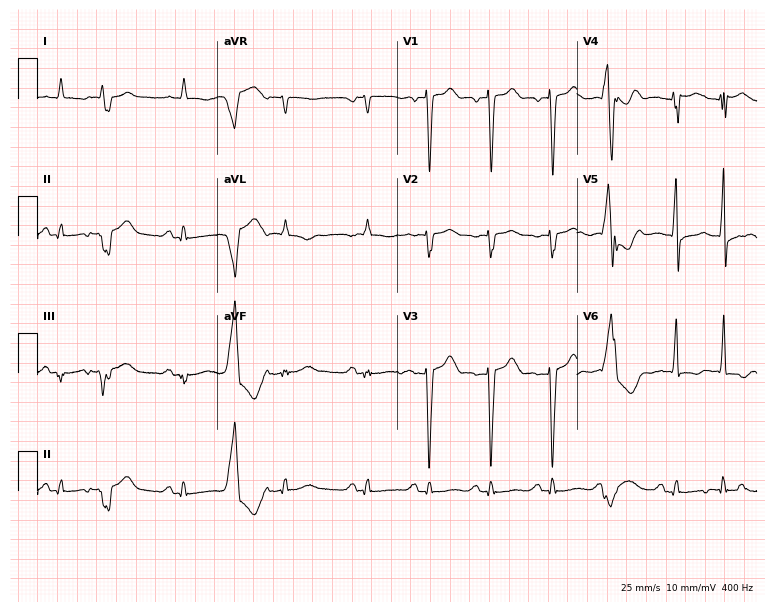
12-lead ECG from a 72-year-old man. No first-degree AV block, right bundle branch block, left bundle branch block, sinus bradycardia, atrial fibrillation or sinus tachycardia recorded for this tracing.